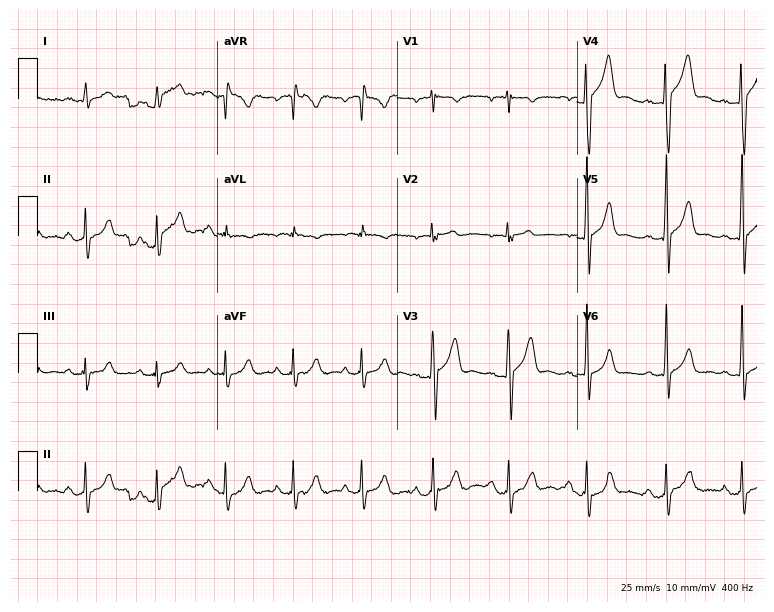
Standard 12-lead ECG recorded from a 26-year-old man (7.3-second recording at 400 Hz). Read as a normal ECG.